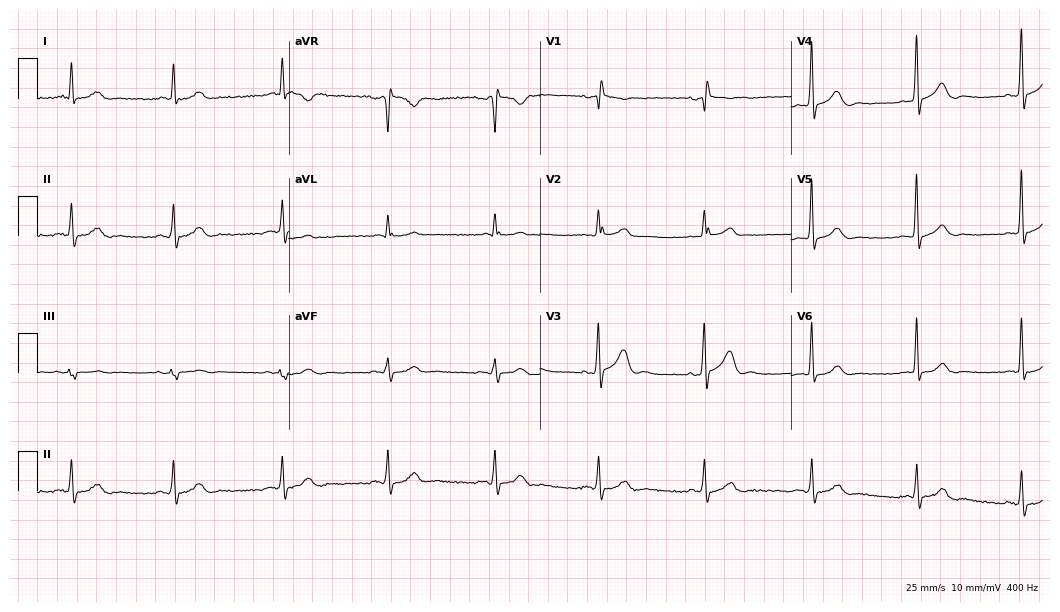
Electrocardiogram, a 79-year-old man. Of the six screened findings (first-degree AV block, right bundle branch block, left bundle branch block, sinus bradycardia, atrial fibrillation, sinus tachycardia), none is recorded.